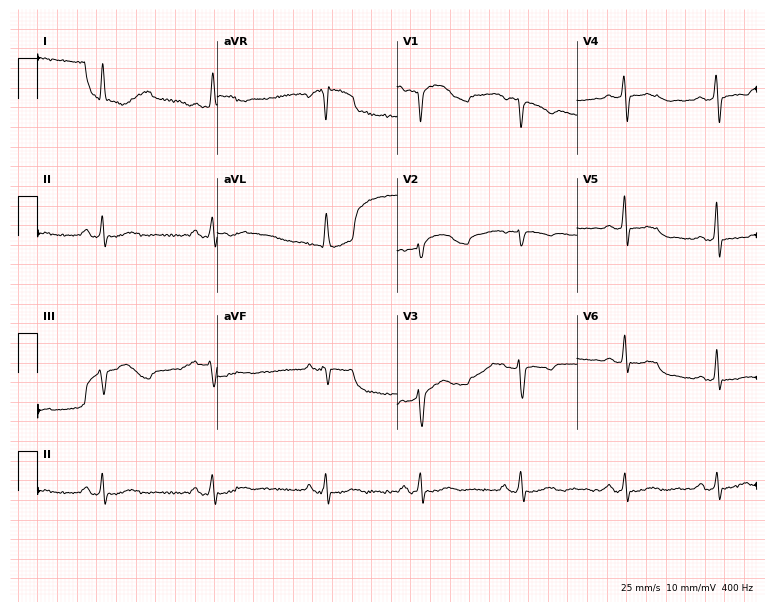
Resting 12-lead electrocardiogram (7.3-second recording at 400 Hz). Patient: a 47-year-old female. None of these six findings is recorded: first-degree AV block, right bundle branch block, left bundle branch block, sinus bradycardia, atrial fibrillation, sinus tachycardia. Other findings, if any, are not listed.